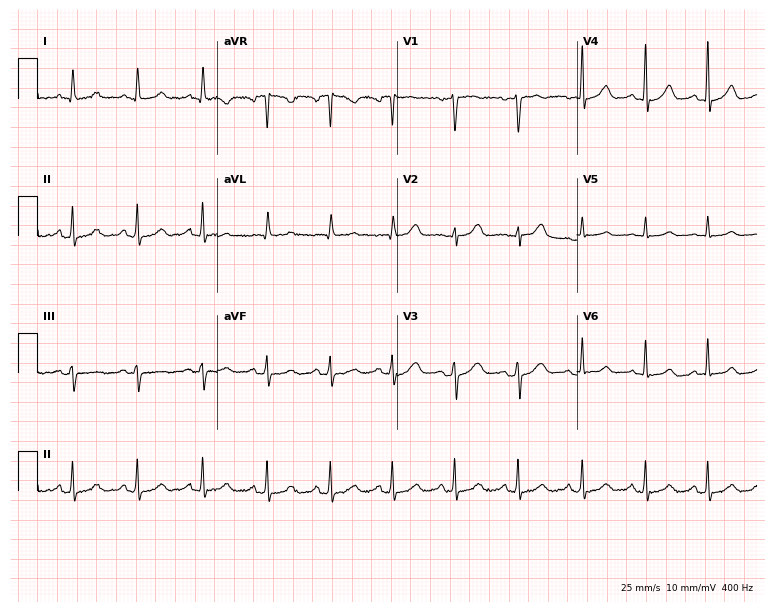
ECG — a 45-year-old female patient. Labelled as a normal ECG.